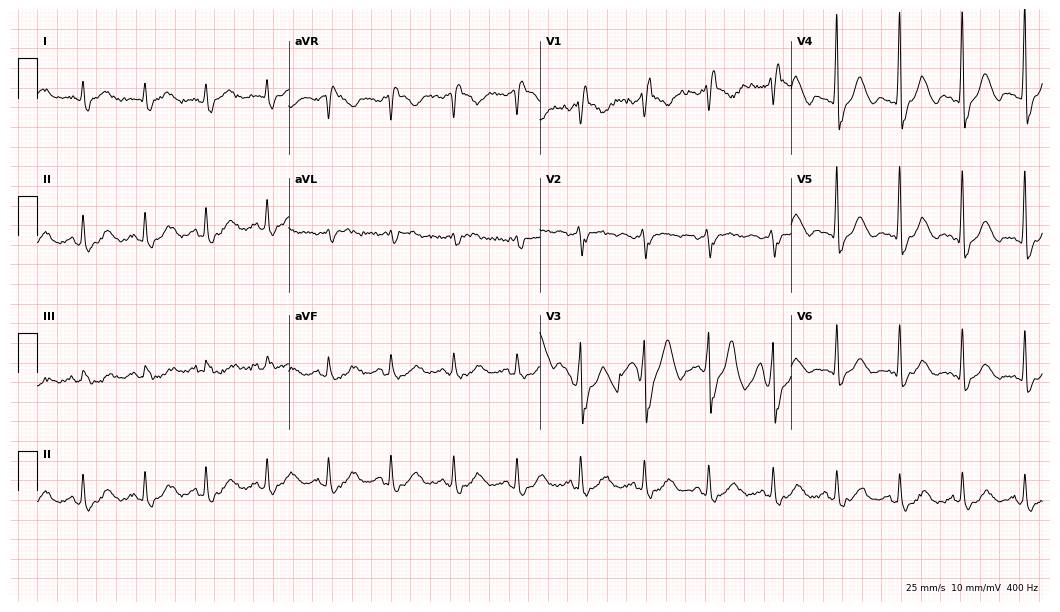
Standard 12-lead ECG recorded from a man, 70 years old (10.2-second recording at 400 Hz). The tracing shows right bundle branch block.